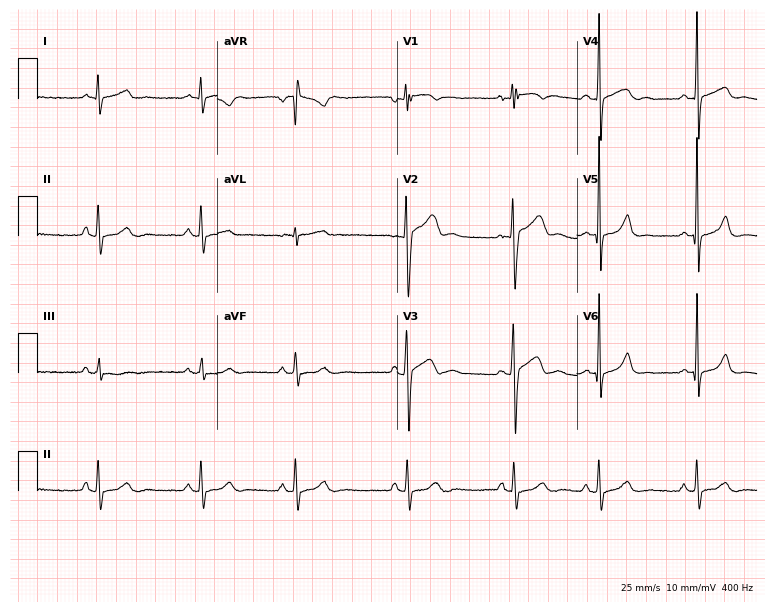
ECG — a 19-year-old male patient. Screened for six findings — first-degree AV block, right bundle branch block, left bundle branch block, sinus bradycardia, atrial fibrillation, sinus tachycardia — none is recorded. Findings outside these six are not listed.